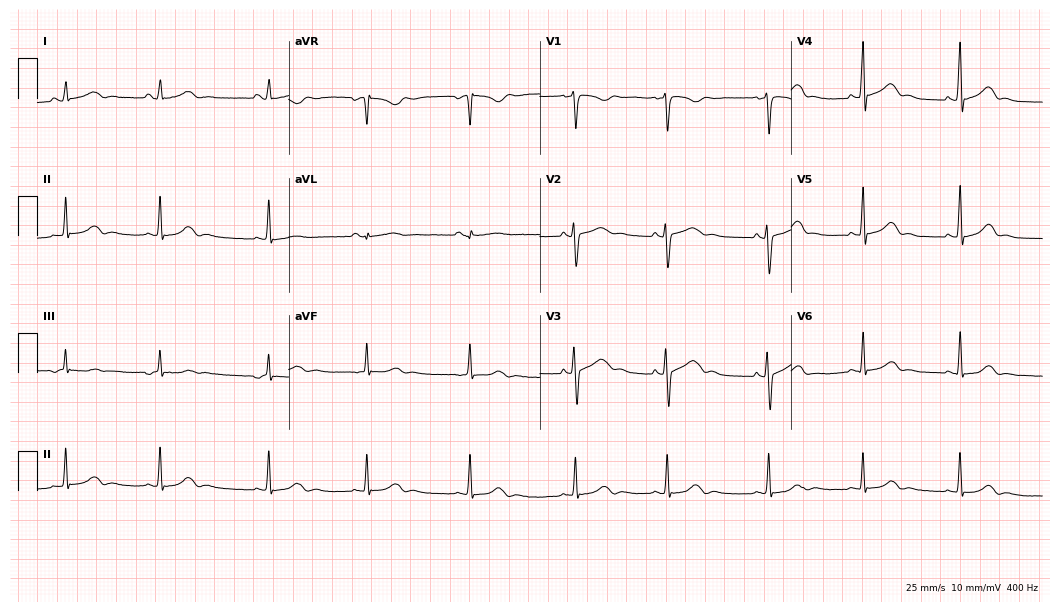
Resting 12-lead electrocardiogram. Patient: an 18-year-old female. Read as a normal ECG.